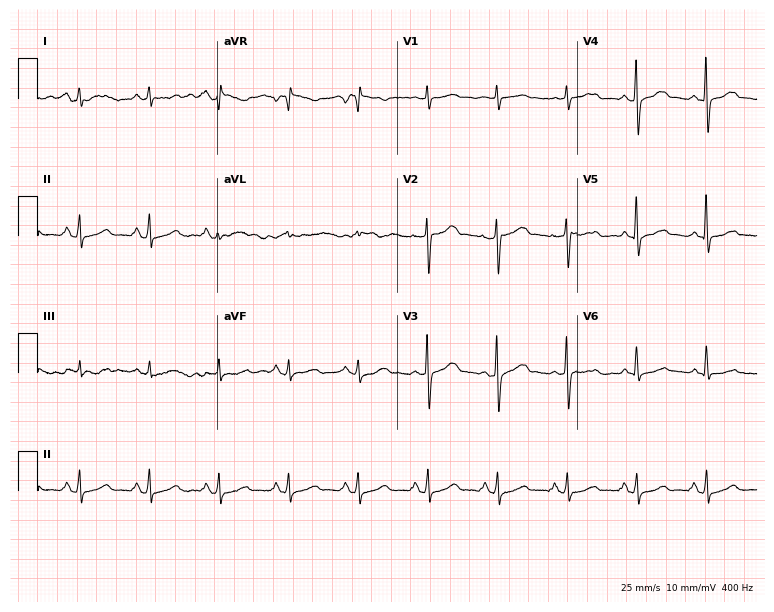
Standard 12-lead ECG recorded from a 67-year-old female (7.3-second recording at 400 Hz). None of these six findings is recorded: first-degree AV block, right bundle branch block (RBBB), left bundle branch block (LBBB), sinus bradycardia, atrial fibrillation (AF), sinus tachycardia. Only these six findings were labelled.